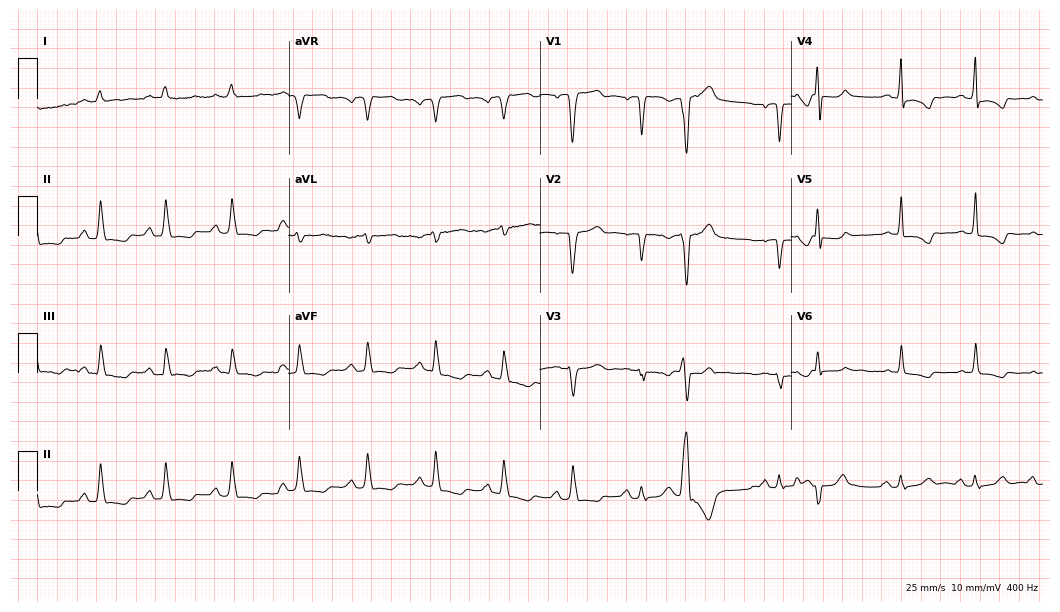
Standard 12-lead ECG recorded from a female, 85 years old (10.2-second recording at 400 Hz). None of these six findings is recorded: first-degree AV block, right bundle branch block (RBBB), left bundle branch block (LBBB), sinus bradycardia, atrial fibrillation (AF), sinus tachycardia.